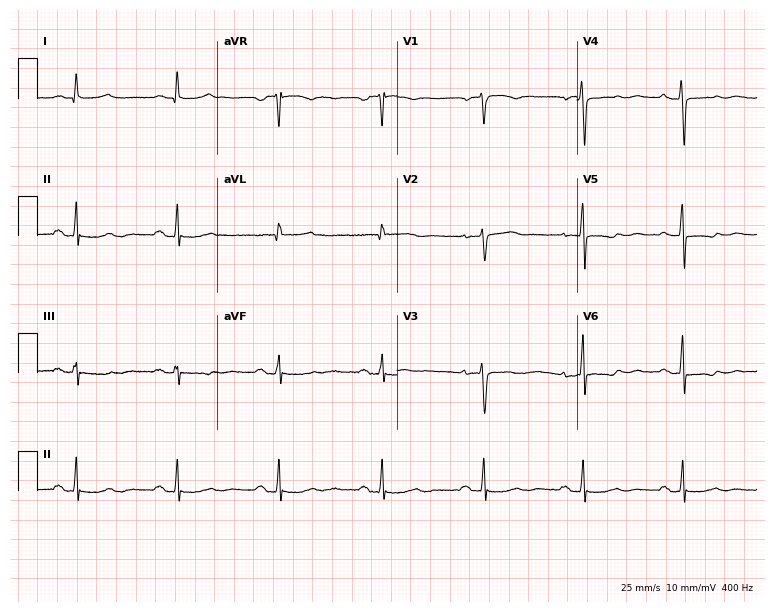
12-lead ECG from a female, 56 years old (7.3-second recording at 400 Hz). No first-degree AV block, right bundle branch block, left bundle branch block, sinus bradycardia, atrial fibrillation or sinus tachycardia recorded for this tracing.